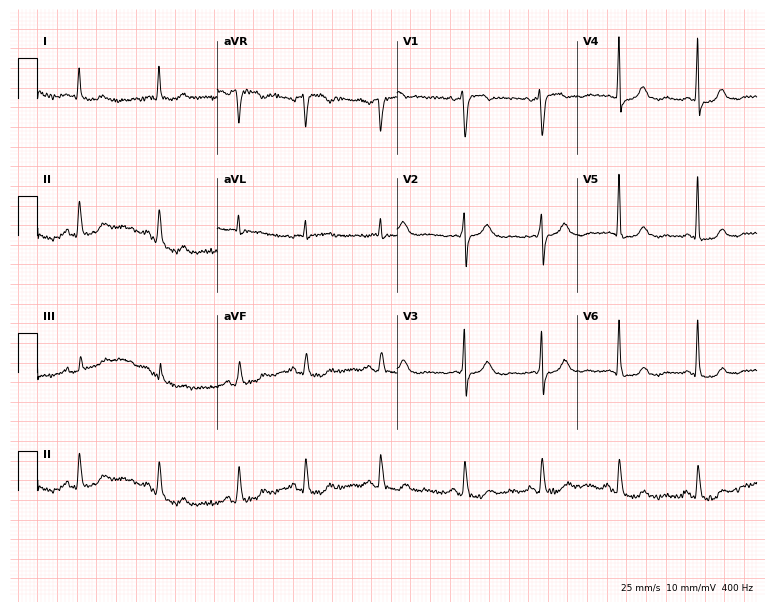
Standard 12-lead ECG recorded from a 58-year-old woman. None of these six findings is recorded: first-degree AV block, right bundle branch block, left bundle branch block, sinus bradycardia, atrial fibrillation, sinus tachycardia. Other findings, if any, are not listed.